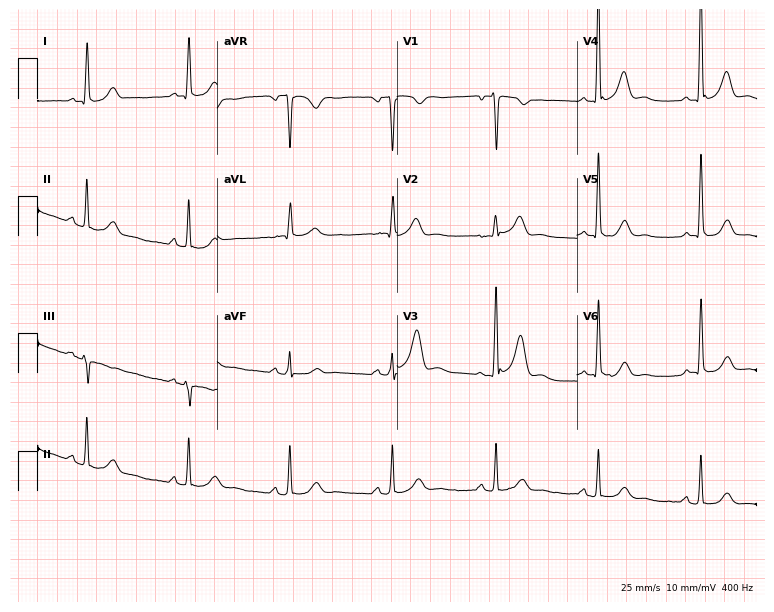
Electrocardiogram, a 67-year-old male patient. Of the six screened findings (first-degree AV block, right bundle branch block, left bundle branch block, sinus bradycardia, atrial fibrillation, sinus tachycardia), none is recorded. Findings outside these six are not listed.